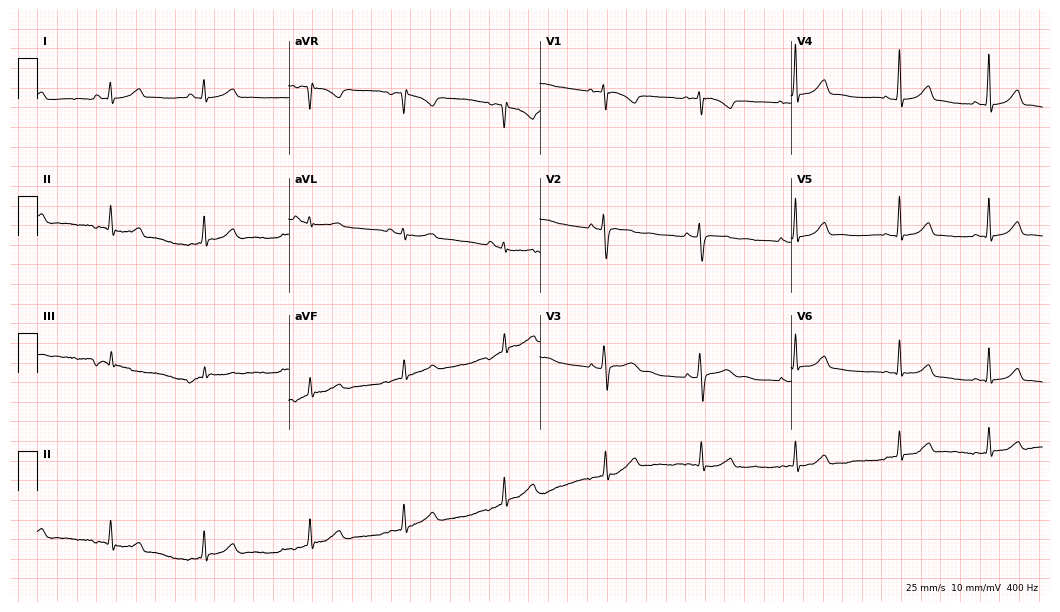
12-lead ECG from an 18-year-old female patient. Labelled as a normal ECG.